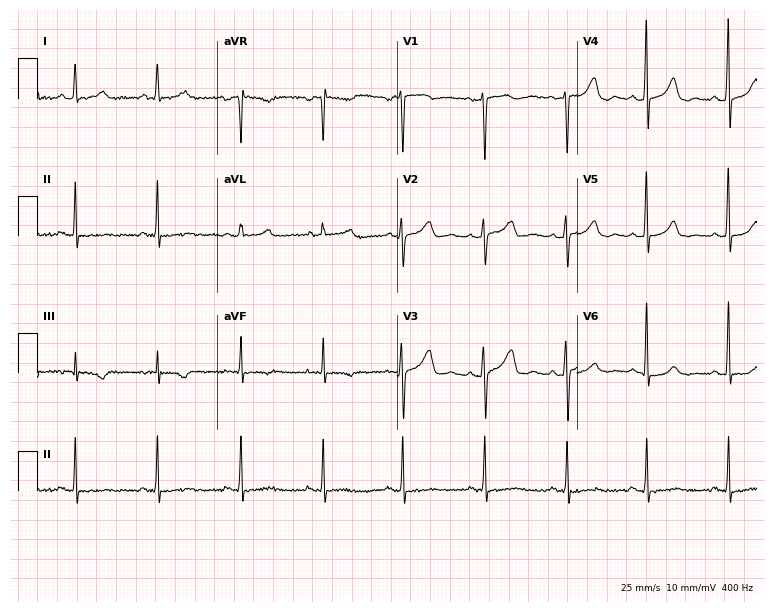
ECG — a woman, 47 years old. Screened for six findings — first-degree AV block, right bundle branch block, left bundle branch block, sinus bradycardia, atrial fibrillation, sinus tachycardia — none is recorded.